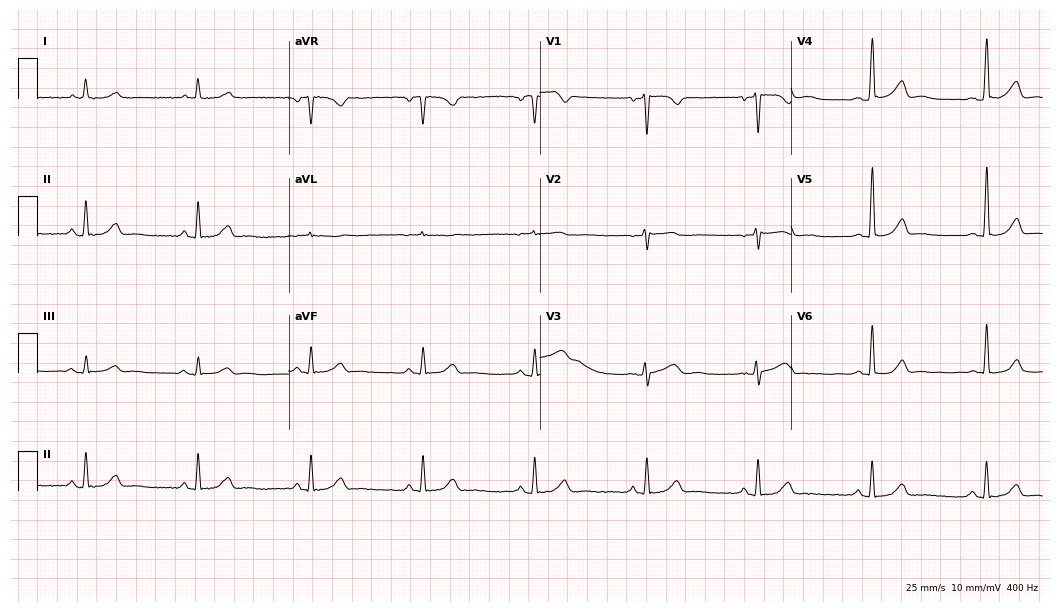
Electrocardiogram (10.2-second recording at 400 Hz), a woman, 43 years old. Of the six screened findings (first-degree AV block, right bundle branch block, left bundle branch block, sinus bradycardia, atrial fibrillation, sinus tachycardia), none is recorded. Only these six findings were labelled.